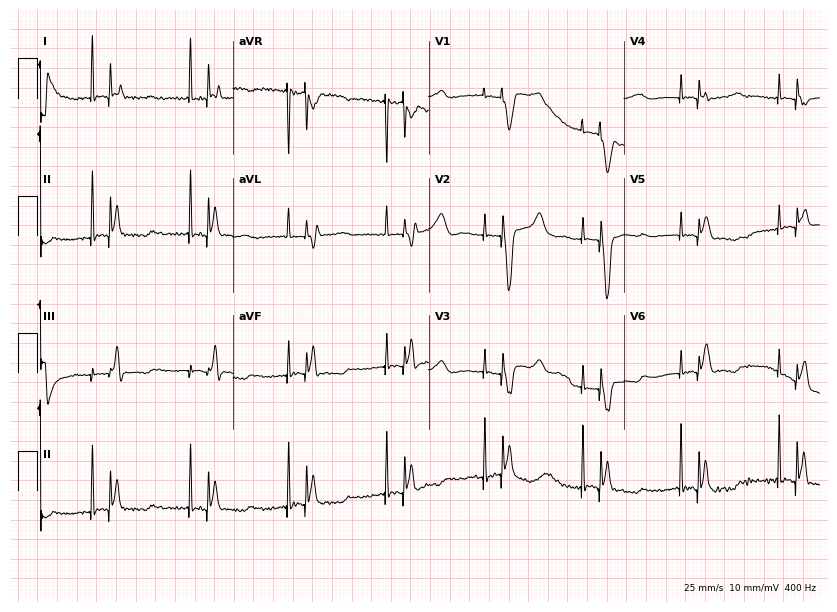
12-lead ECG (8-second recording at 400 Hz) from an 80-year-old female. Screened for six findings — first-degree AV block, right bundle branch block, left bundle branch block, sinus bradycardia, atrial fibrillation, sinus tachycardia — none is recorded. Findings outside these six are not listed.